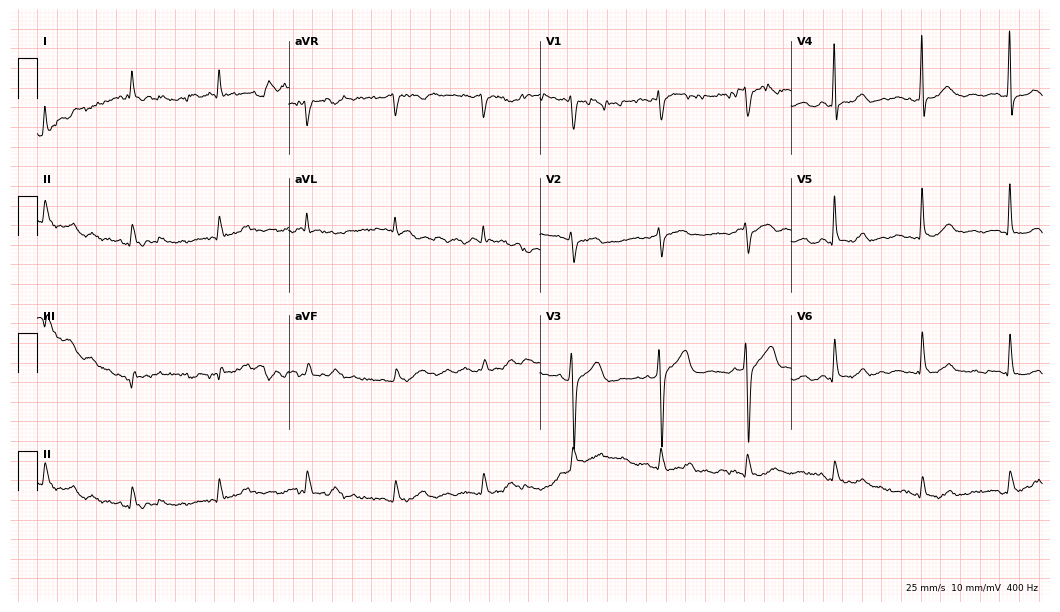
ECG — a male, 66 years old. Screened for six findings — first-degree AV block, right bundle branch block, left bundle branch block, sinus bradycardia, atrial fibrillation, sinus tachycardia — none is recorded. Only these six findings were labelled.